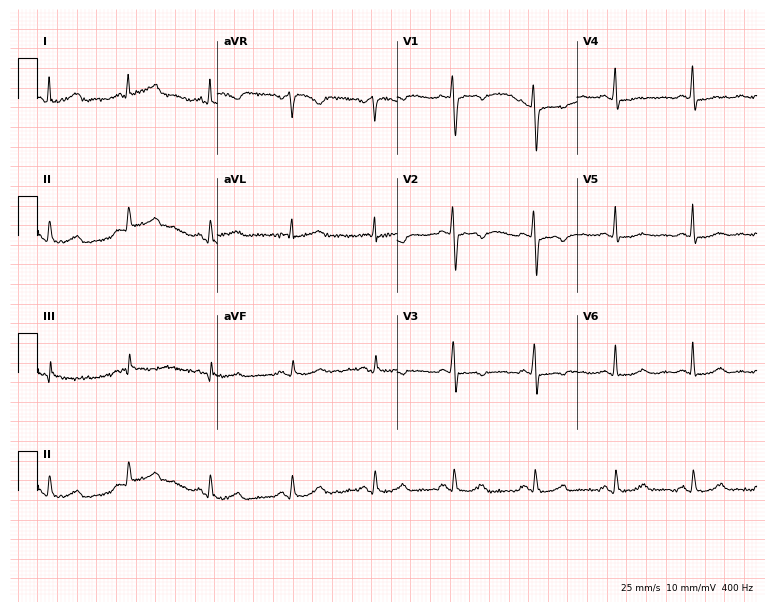
Standard 12-lead ECG recorded from a woman, 77 years old (7.3-second recording at 400 Hz). Read as a normal ECG.